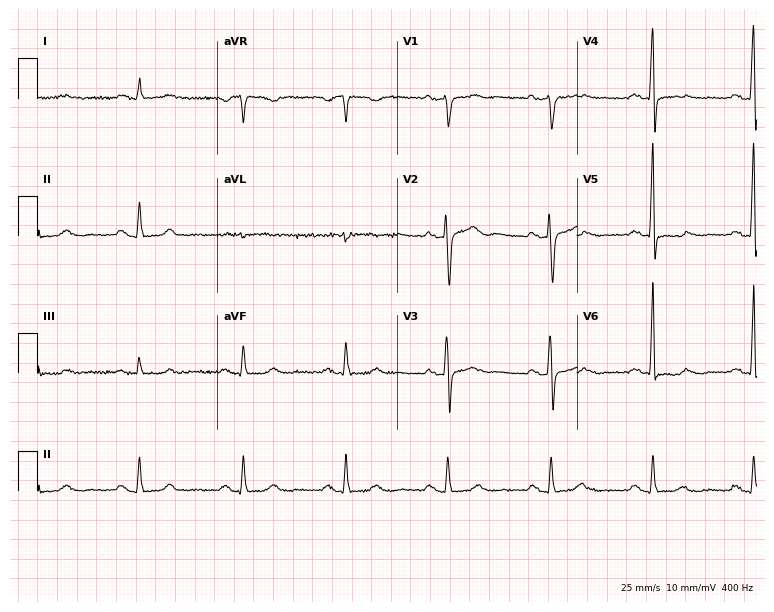
12-lead ECG from a 62-year-old male patient. No first-degree AV block, right bundle branch block (RBBB), left bundle branch block (LBBB), sinus bradycardia, atrial fibrillation (AF) or sinus tachycardia recorded for this tracing.